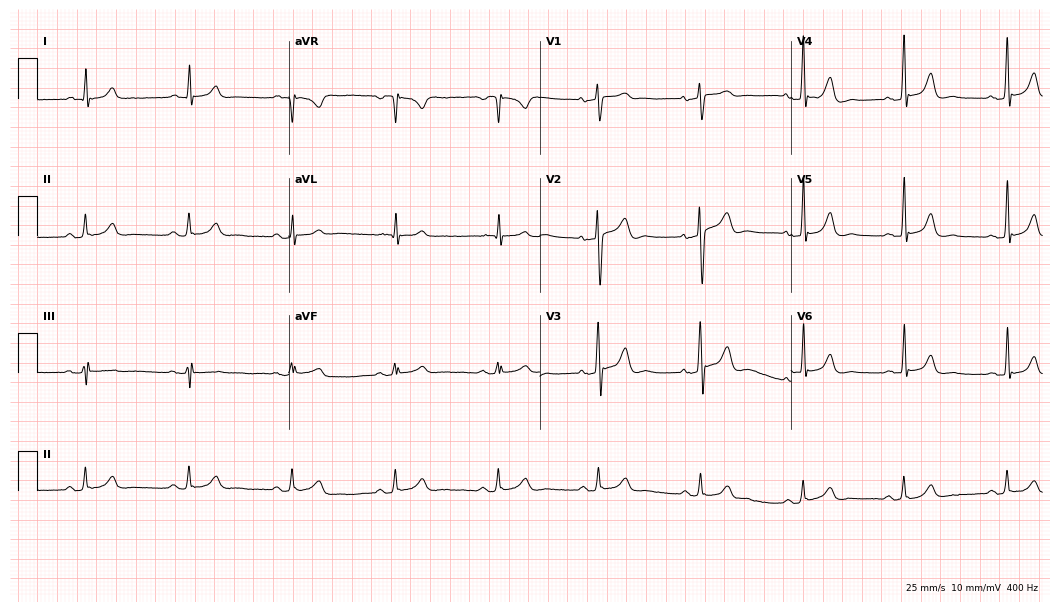
Resting 12-lead electrocardiogram. Patient: a male, 69 years old. Read as a normal ECG.